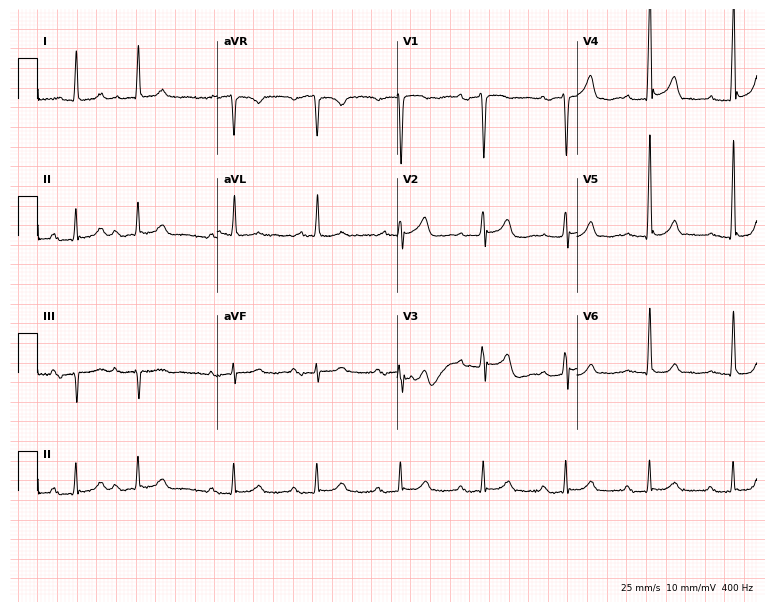
Standard 12-lead ECG recorded from a male, 77 years old. Read as a normal ECG.